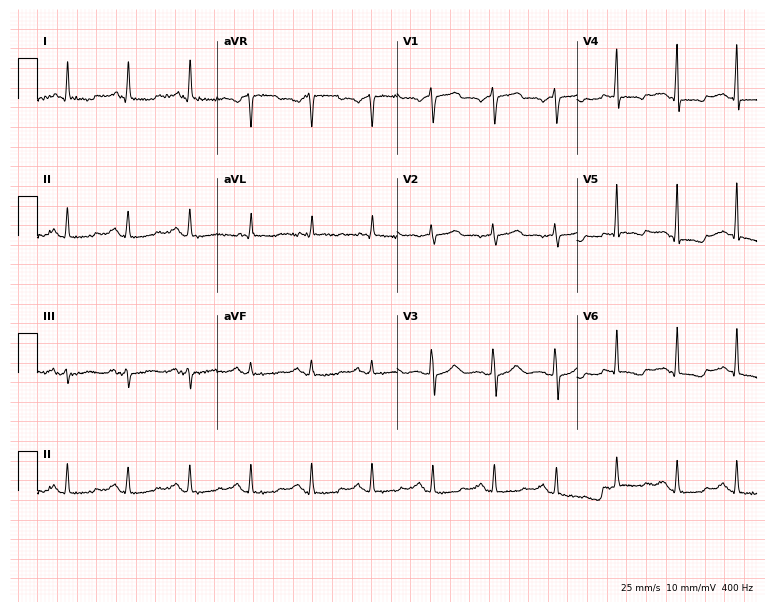
Resting 12-lead electrocardiogram. Patient: a 50-year-old female. None of these six findings is recorded: first-degree AV block, right bundle branch block, left bundle branch block, sinus bradycardia, atrial fibrillation, sinus tachycardia.